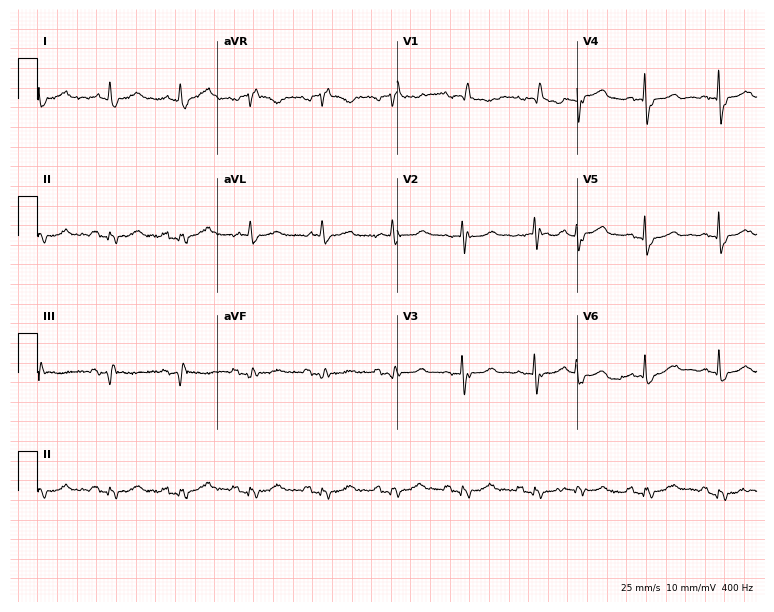
Resting 12-lead electrocardiogram. Patient: a female, 85 years old. None of these six findings is recorded: first-degree AV block, right bundle branch block, left bundle branch block, sinus bradycardia, atrial fibrillation, sinus tachycardia. Only these six findings were labelled.